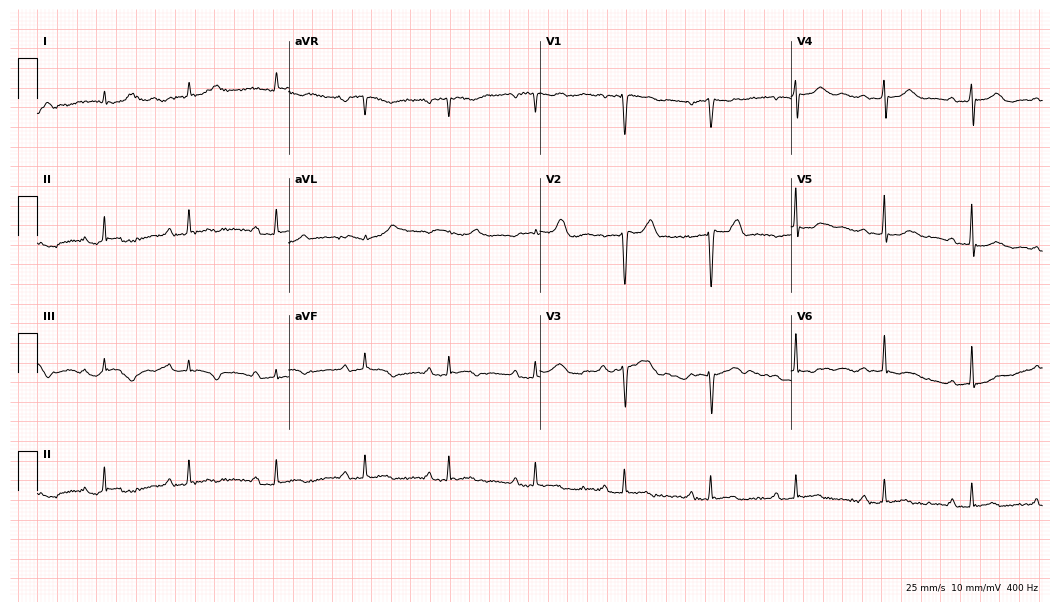
12-lead ECG from a woman, 68 years old. No first-degree AV block, right bundle branch block, left bundle branch block, sinus bradycardia, atrial fibrillation or sinus tachycardia recorded for this tracing.